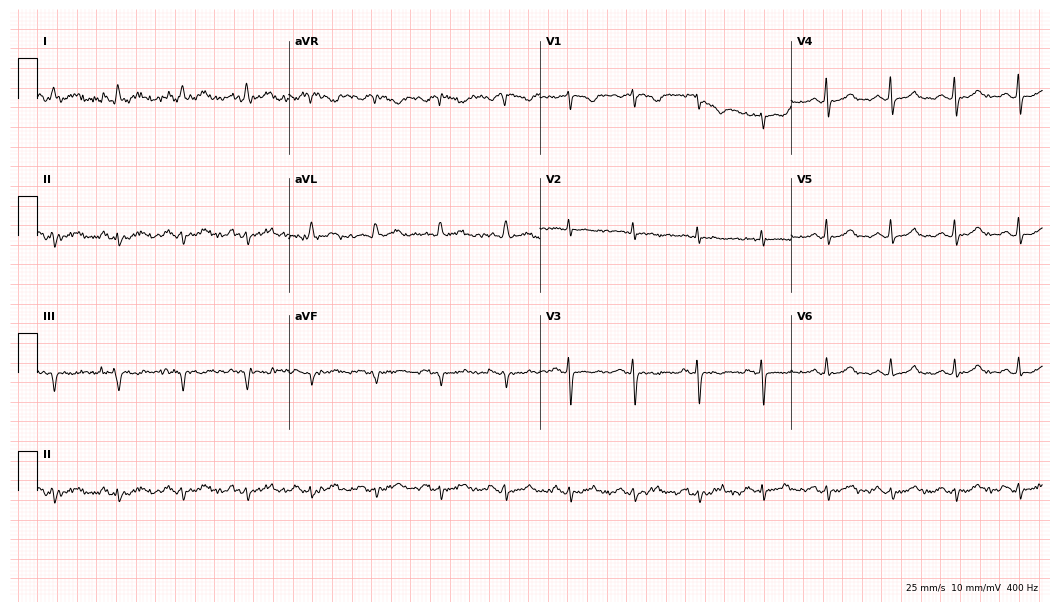
12-lead ECG from a female patient, 73 years old. No first-degree AV block, right bundle branch block, left bundle branch block, sinus bradycardia, atrial fibrillation or sinus tachycardia recorded for this tracing. Only these six findings were labelled.